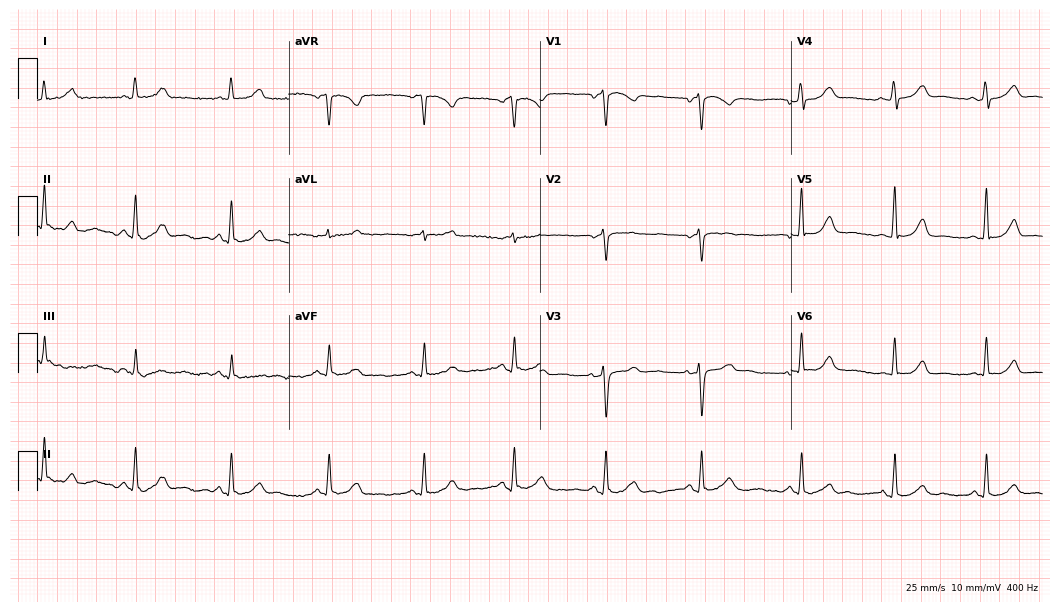
Resting 12-lead electrocardiogram. Patient: a 44-year-old female. None of these six findings is recorded: first-degree AV block, right bundle branch block (RBBB), left bundle branch block (LBBB), sinus bradycardia, atrial fibrillation (AF), sinus tachycardia. Other findings, if any, are not listed.